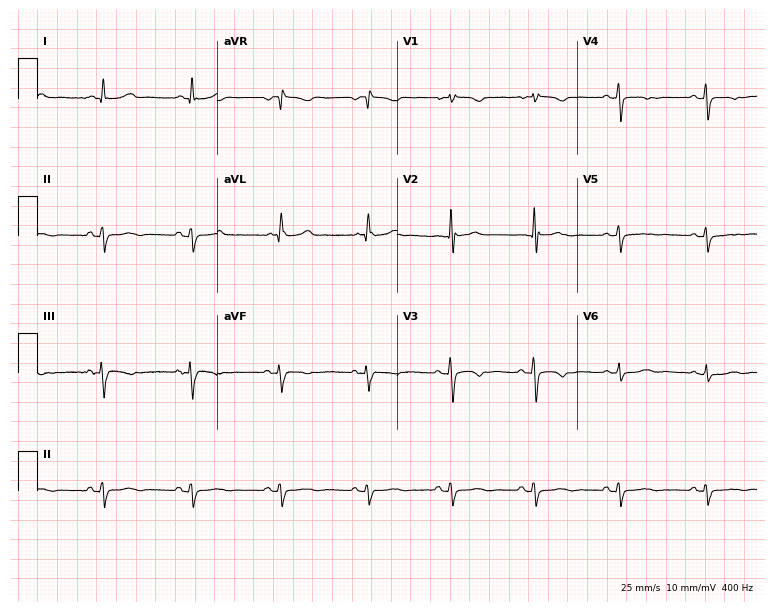
12-lead ECG from a woman, 40 years old. No first-degree AV block, right bundle branch block, left bundle branch block, sinus bradycardia, atrial fibrillation or sinus tachycardia recorded for this tracing. Findings outside these six are not listed.